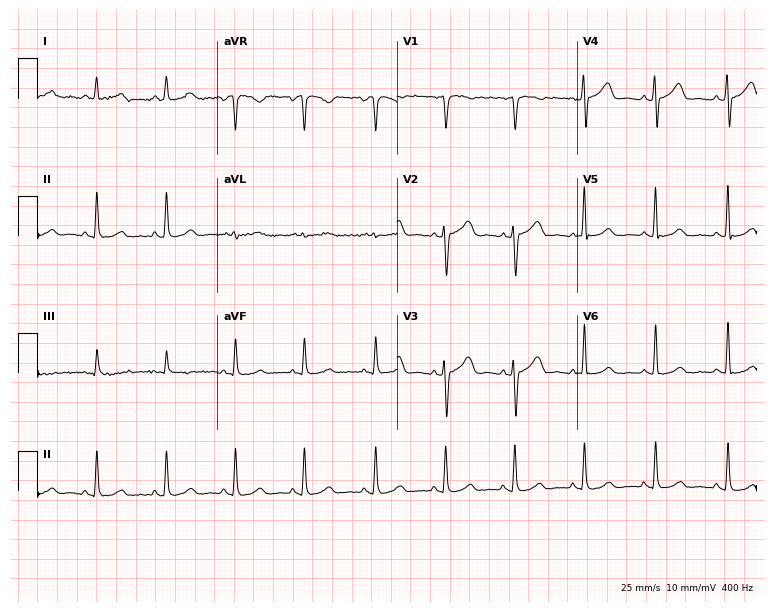
12-lead ECG (7.3-second recording at 400 Hz) from a female, 50 years old. Screened for six findings — first-degree AV block, right bundle branch block, left bundle branch block, sinus bradycardia, atrial fibrillation, sinus tachycardia — none is recorded.